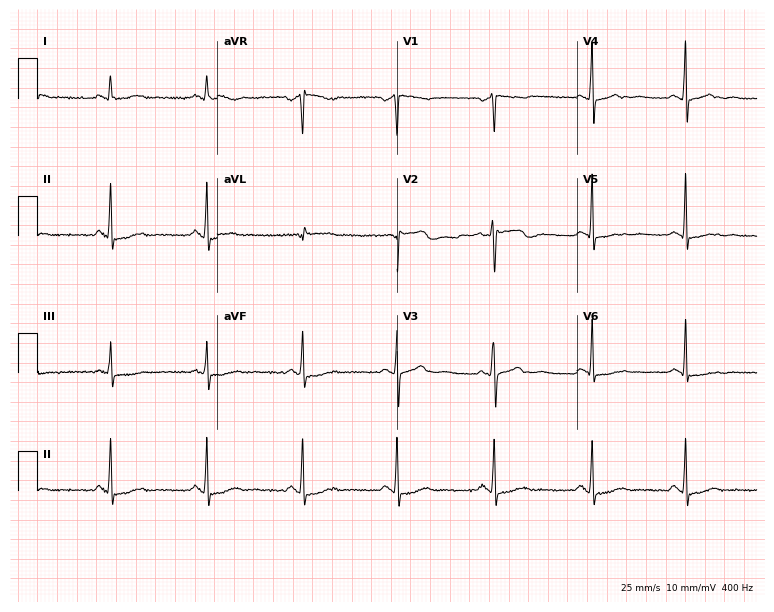
Standard 12-lead ECG recorded from a woman, 49 years old. None of these six findings is recorded: first-degree AV block, right bundle branch block (RBBB), left bundle branch block (LBBB), sinus bradycardia, atrial fibrillation (AF), sinus tachycardia.